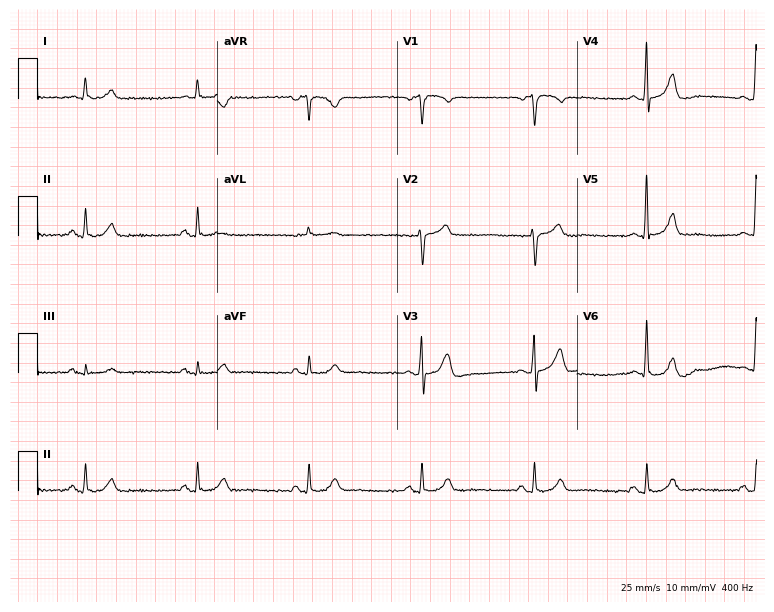
12-lead ECG from a male patient, 70 years old. Screened for six findings — first-degree AV block, right bundle branch block, left bundle branch block, sinus bradycardia, atrial fibrillation, sinus tachycardia — none is recorded. Other findings, if any, are not listed.